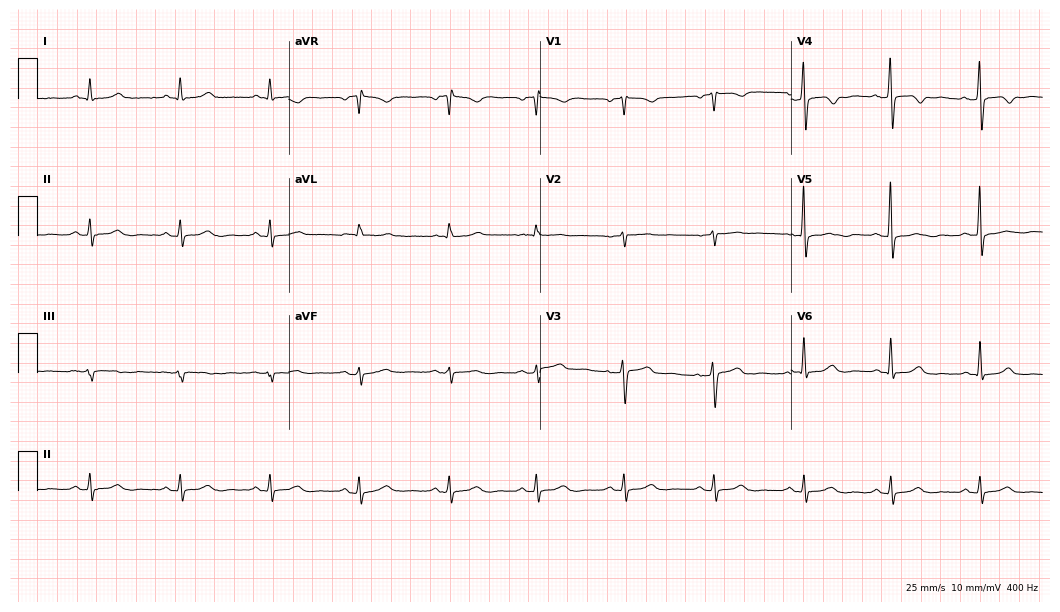
12-lead ECG from a 57-year-old female. No first-degree AV block, right bundle branch block, left bundle branch block, sinus bradycardia, atrial fibrillation or sinus tachycardia recorded for this tracing. Other findings, if any, are not listed.